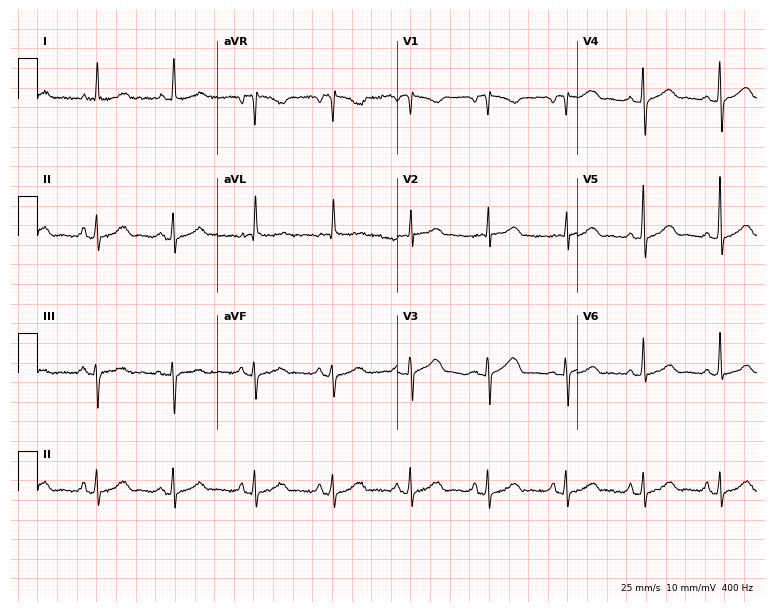
ECG (7.3-second recording at 400 Hz) — a 72-year-old woman. Labelled as a normal ECG.